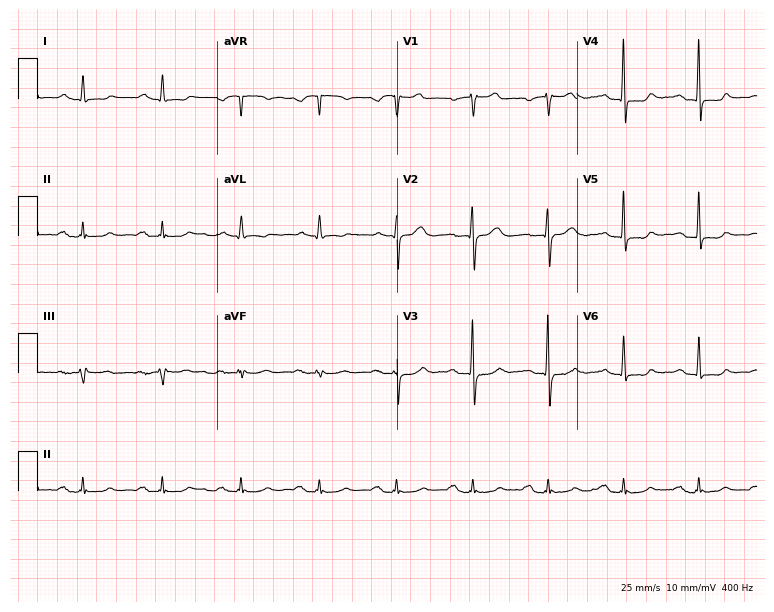
Resting 12-lead electrocardiogram (7.3-second recording at 400 Hz). Patient: a male, 73 years old. The tracing shows first-degree AV block.